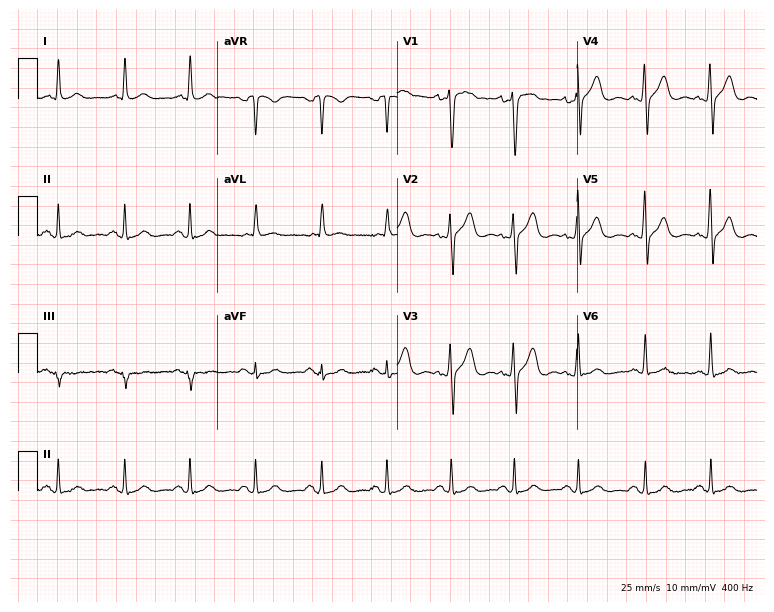
Standard 12-lead ECG recorded from a 66-year-old man (7.3-second recording at 400 Hz). Read as a normal ECG.